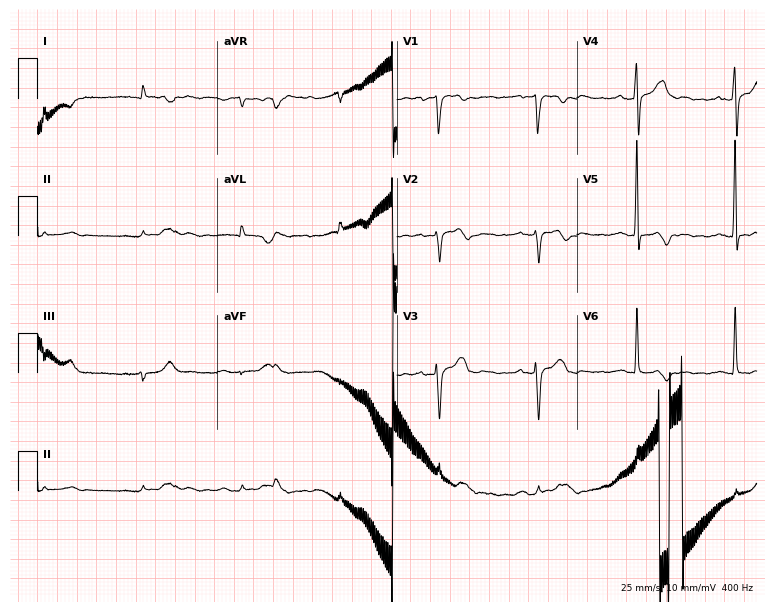
Resting 12-lead electrocardiogram (7.3-second recording at 400 Hz). Patient: a 69-year-old man. None of these six findings is recorded: first-degree AV block, right bundle branch block, left bundle branch block, sinus bradycardia, atrial fibrillation, sinus tachycardia.